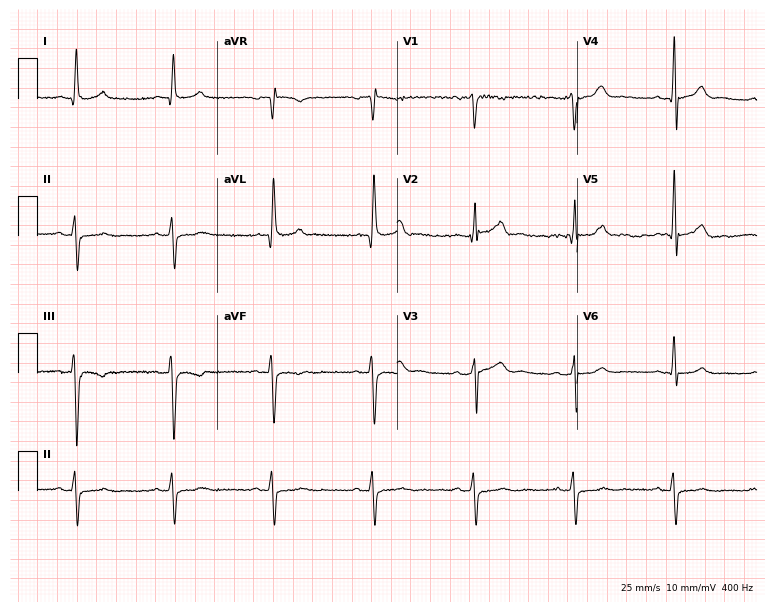
Electrocardiogram (7.3-second recording at 400 Hz), a male patient, 49 years old. Of the six screened findings (first-degree AV block, right bundle branch block, left bundle branch block, sinus bradycardia, atrial fibrillation, sinus tachycardia), none is recorded.